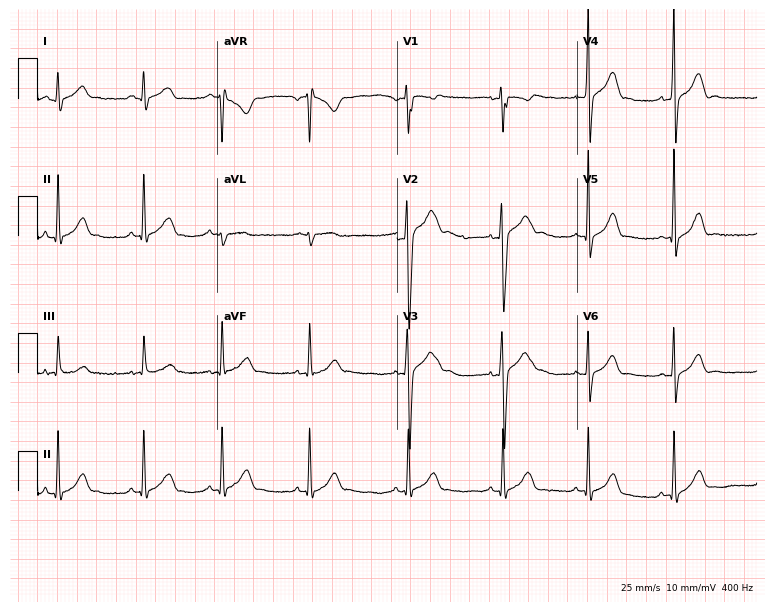
Resting 12-lead electrocardiogram. Patient: a 17-year-old male. Read as a normal ECG.